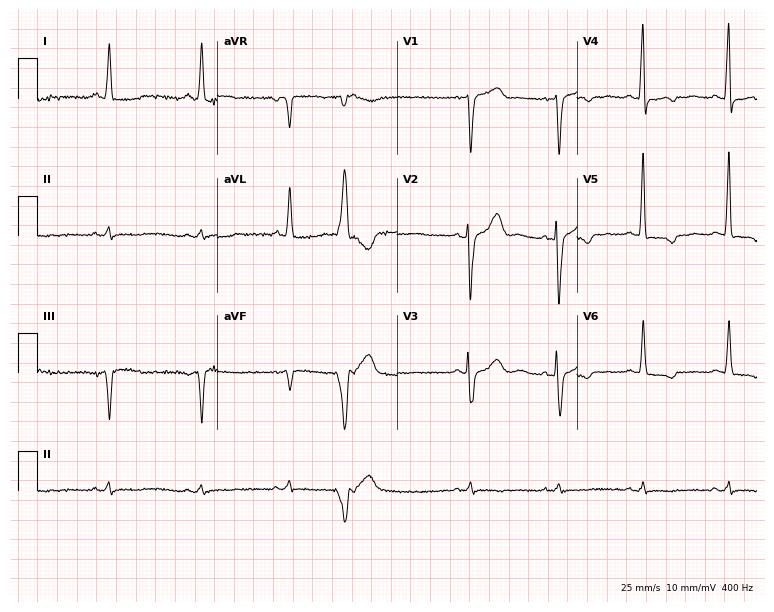
Electrocardiogram (7.3-second recording at 400 Hz), a 68-year-old man. Of the six screened findings (first-degree AV block, right bundle branch block, left bundle branch block, sinus bradycardia, atrial fibrillation, sinus tachycardia), none is recorded. Only these six findings were labelled.